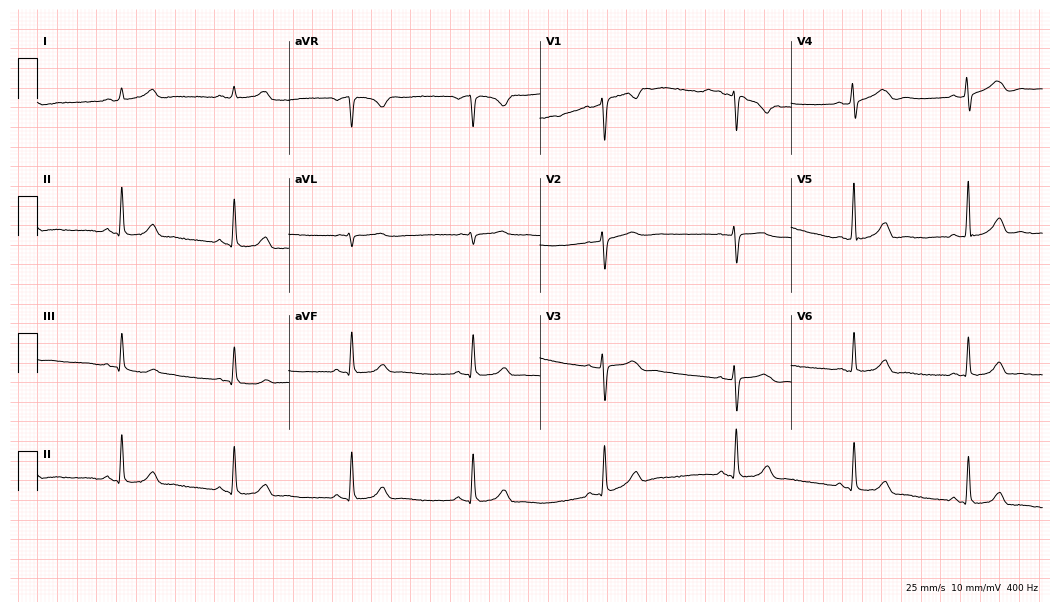
12-lead ECG from a 35-year-old woman. Labelled as a normal ECG.